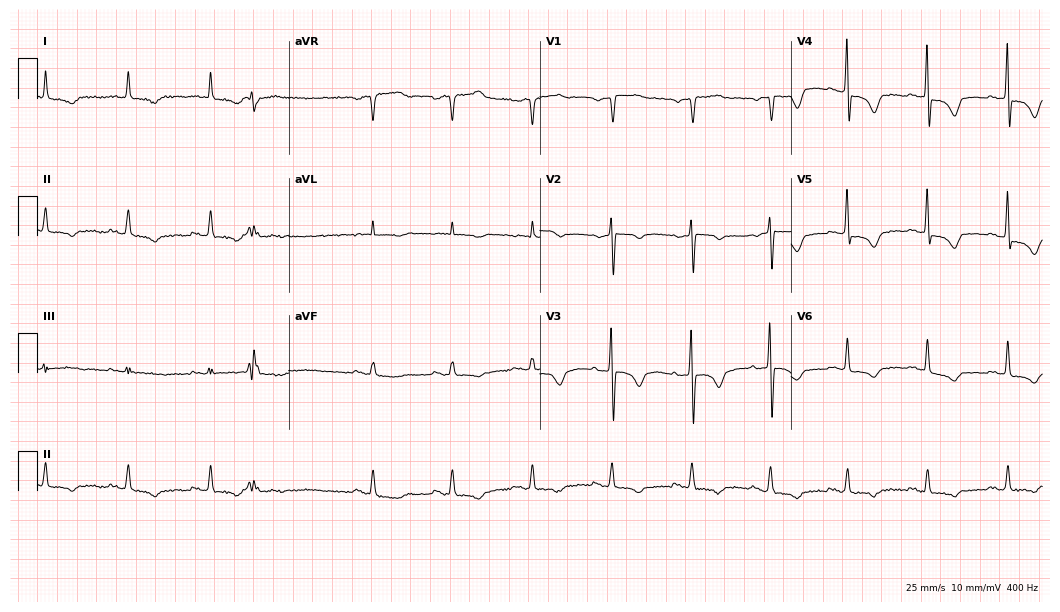
Resting 12-lead electrocardiogram (10.2-second recording at 400 Hz). Patient: a male, 81 years old. None of these six findings is recorded: first-degree AV block, right bundle branch block, left bundle branch block, sinus bradycardia, atrial fibrillation, sinus tachycardia.